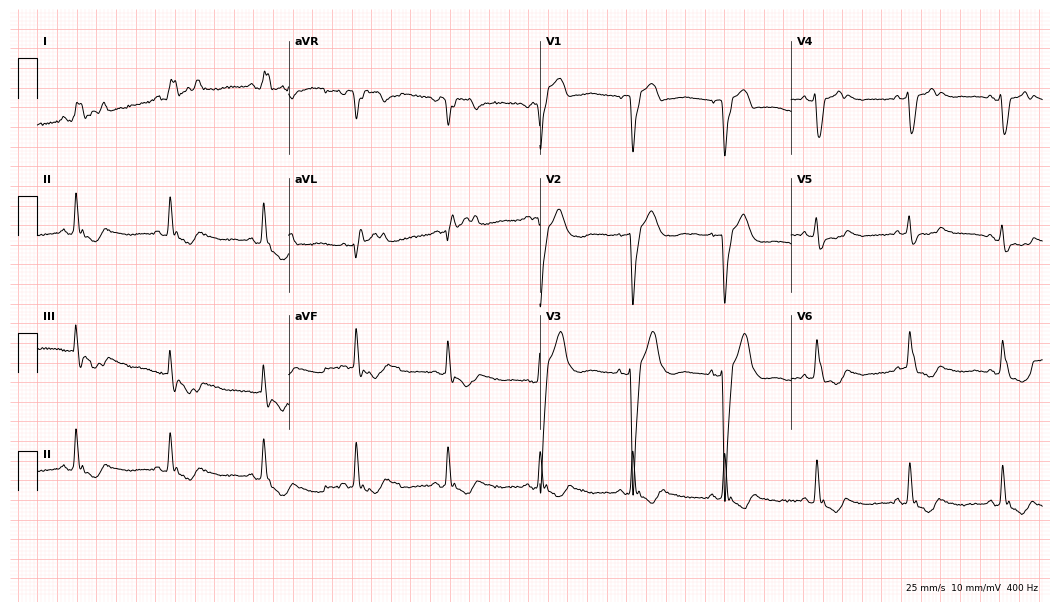
Resting 12-lead electrocardiogram (10.2-second recording at 400 Hz). Patient: a 47-year-old female. The tracing shows left bundle branch block (LBBB).